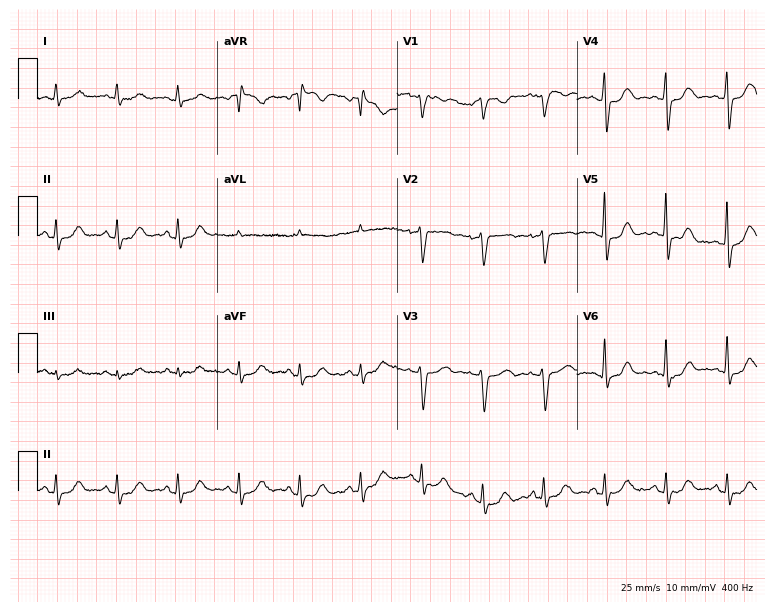
12-lead ECG (7.3-second recording at 400 Hz) from a man, 65 years old. Labelled as a normal ECG.